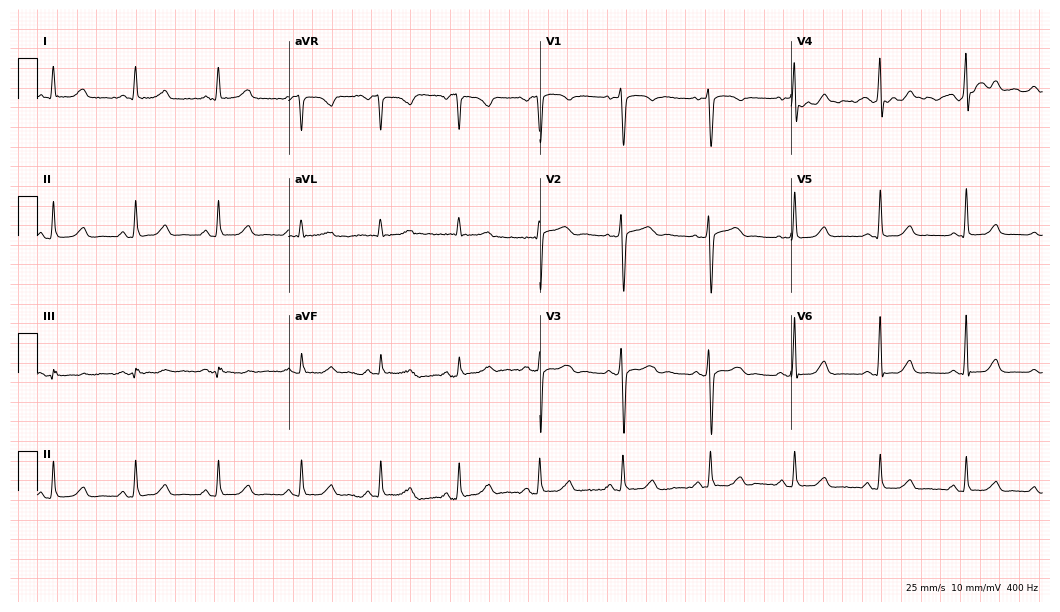
Standard 12-lead ECG recorded from a 58-year-old female (10.2-second recording at 400 Hz). Read as a normal ECG.